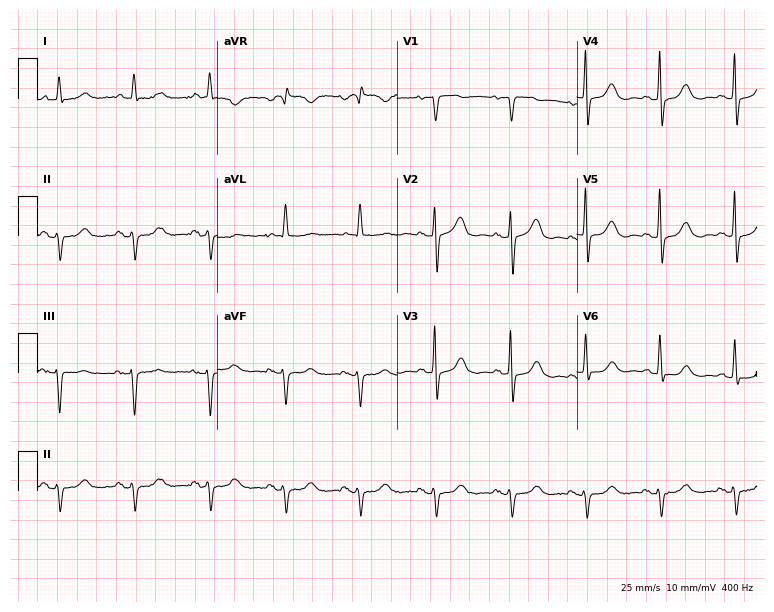
Standard 12-lead ECG recorded from a woman, 74 years old (7.3-second recording at 400 Hz). None of these six findings is recorded: first-degree AV block, right bundle branch block (RBBB), left bundle branch block (LBBB), sinus bradycardia, atrial fibrillation (AF), sinus tachycardia. Findings outside these six are not listed.